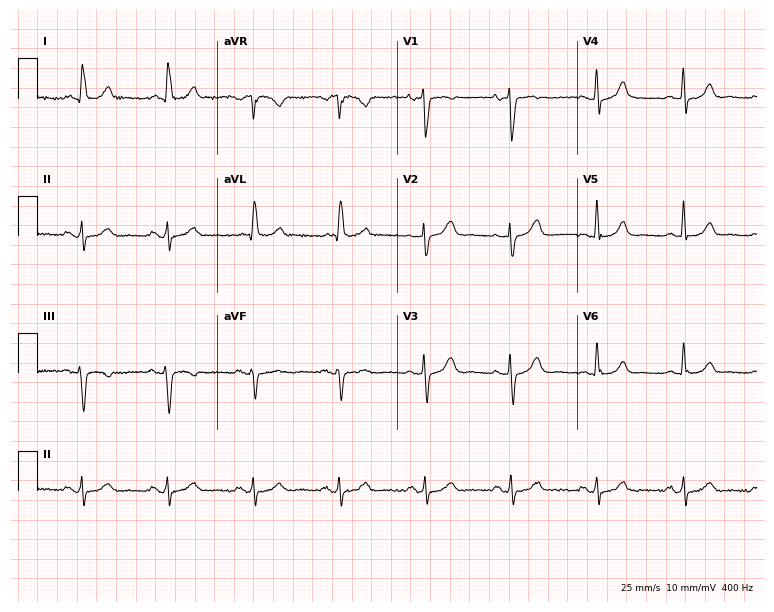
ECG — a 79-year-old female. Labelled as a normal ECG.